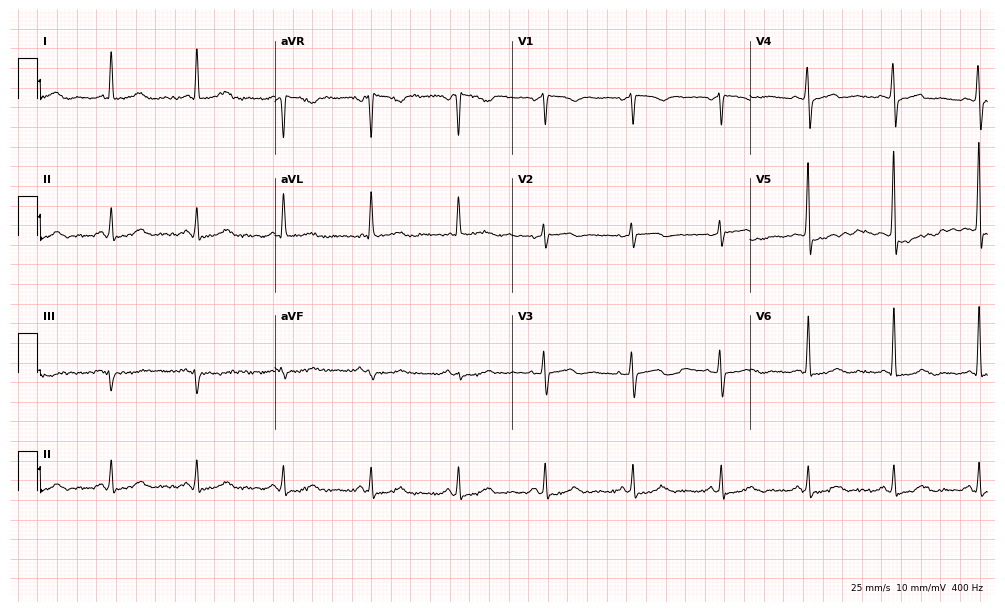
12-lead ECG from a 66-year-old woman. Screened for six findings — first-degree AV block, right bundle branch block, left bundle branch block, sinus bradycardia, atrial fibrillation, sinus tachycardia — none is recorded. Other findings, if any, are not listed.